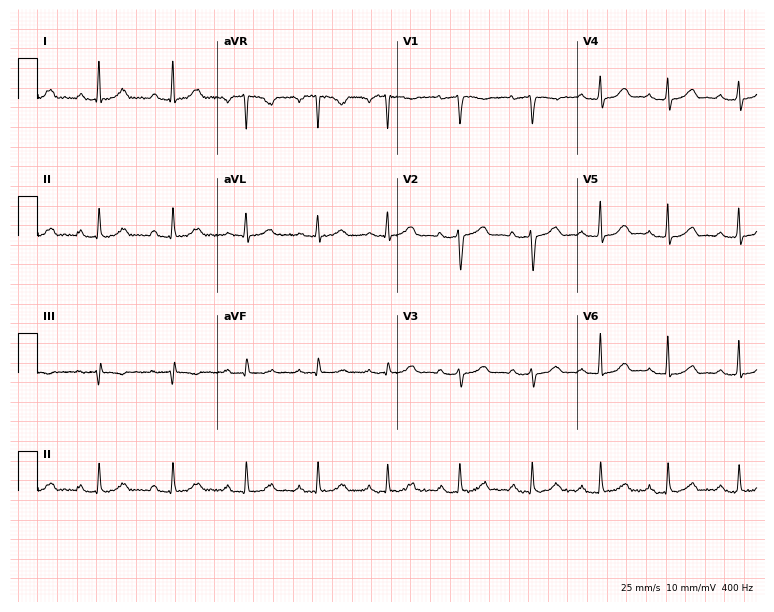
12-lead ECG from a female patient, 48 years old. Recorded interpretation: within normal limits.